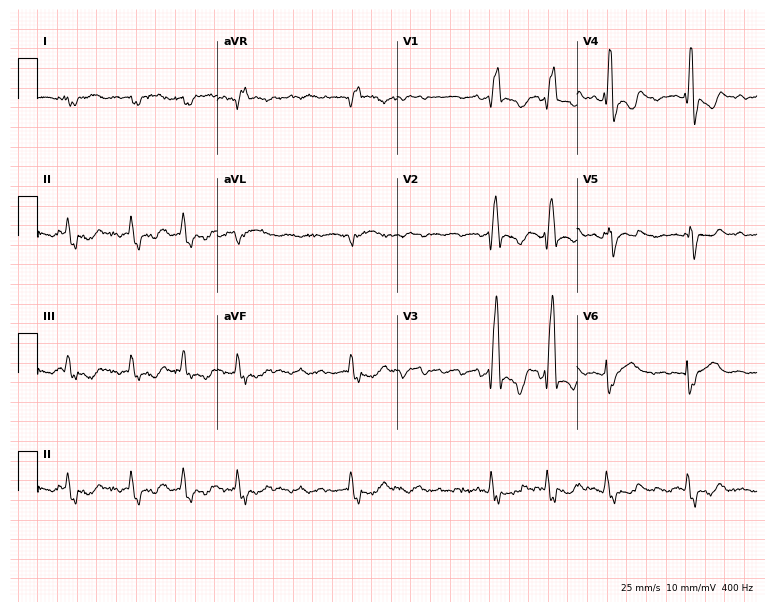
12-lead ECG (7.3-second recording at 400 Hz) from a man, 78 years old. Findings include right bundle branch block (RBBB), atrial fibrillation (AF).